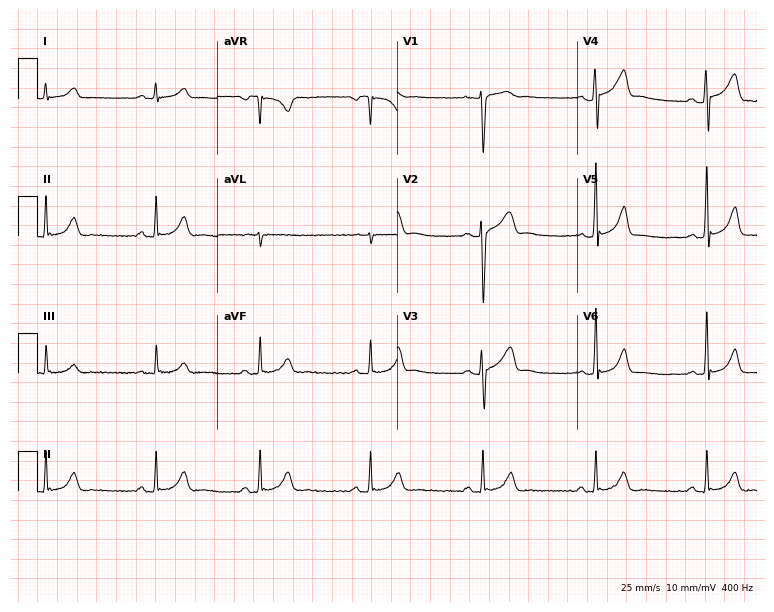
12-lead ECG from a man, 31 years old (7.3-second recording at 400 Hz). Recorded interpretation: within normal limits.